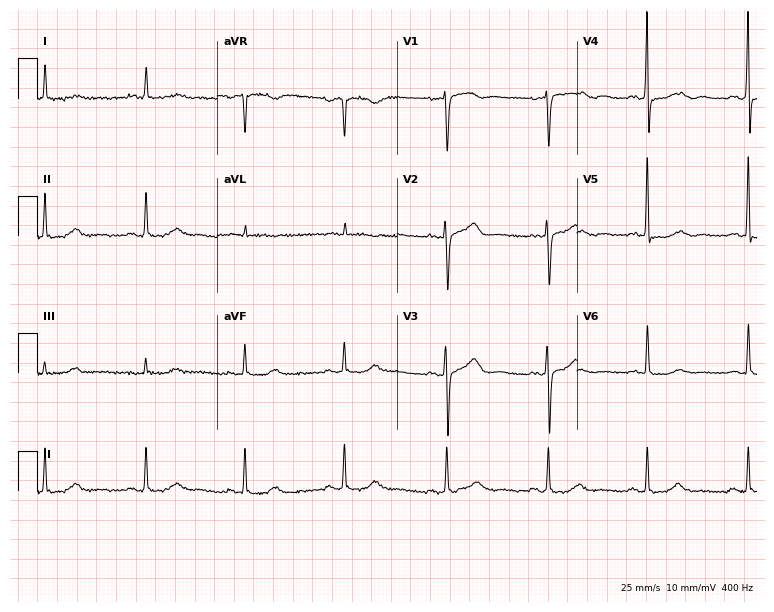
ECG — a female patient, 74 years old. Screened for six findings — first-degree AV block, right bundle branch block, left bundle branch block, sinus bradycardia, atrial fibrillation, sinus tachycardia — none is recorded. Findings outside these six are not listed.